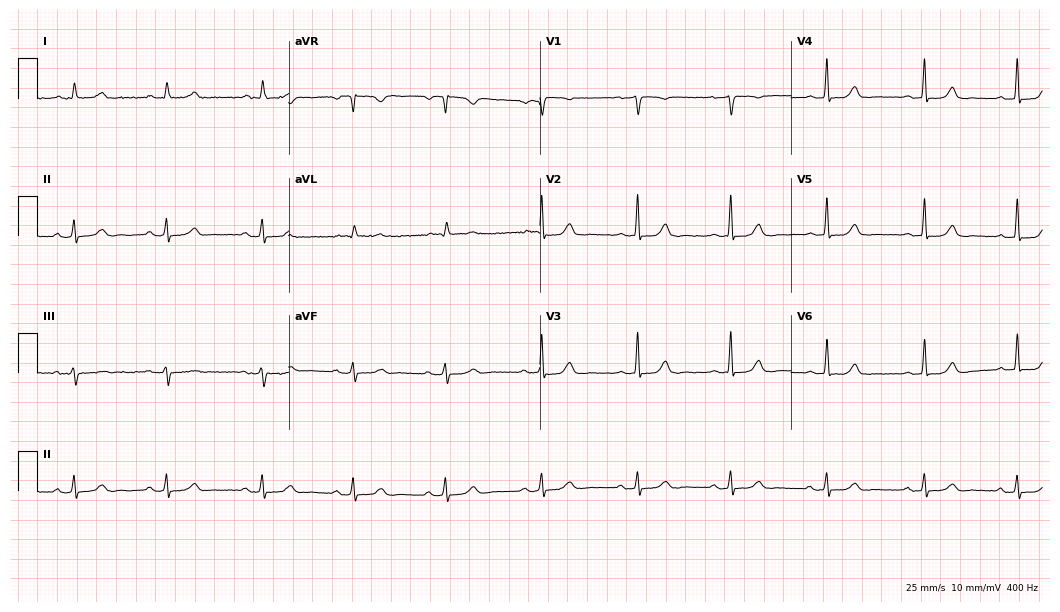
Resting 12-lead electrocardiogram (10.2-second recording at 400 Hz). Patient: a 48-year-old female. None of these six findings is recorded: first-degree AV block, right bundle branch block, left bundle branch block, sinus bradycardia, atrial fibrillation, sinus tachycardia. Other findings, if any, are not listed.